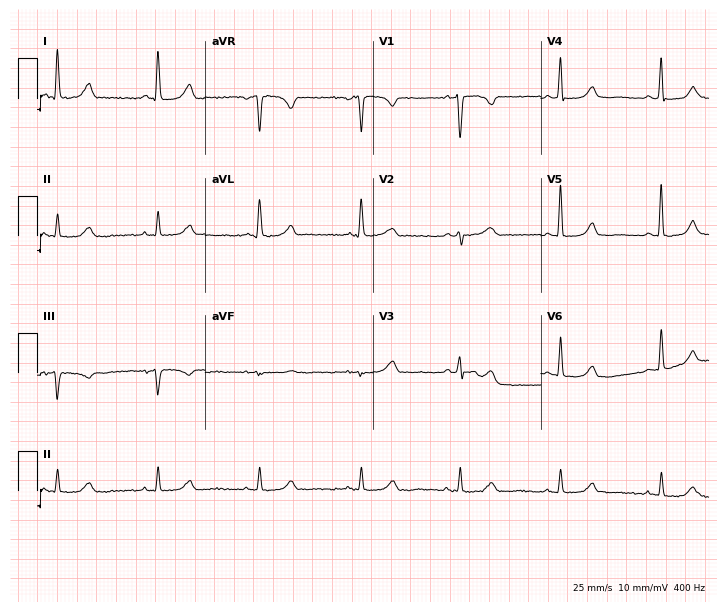
ECG — a 74-year-old female patient. Labelled as a normal ECG.